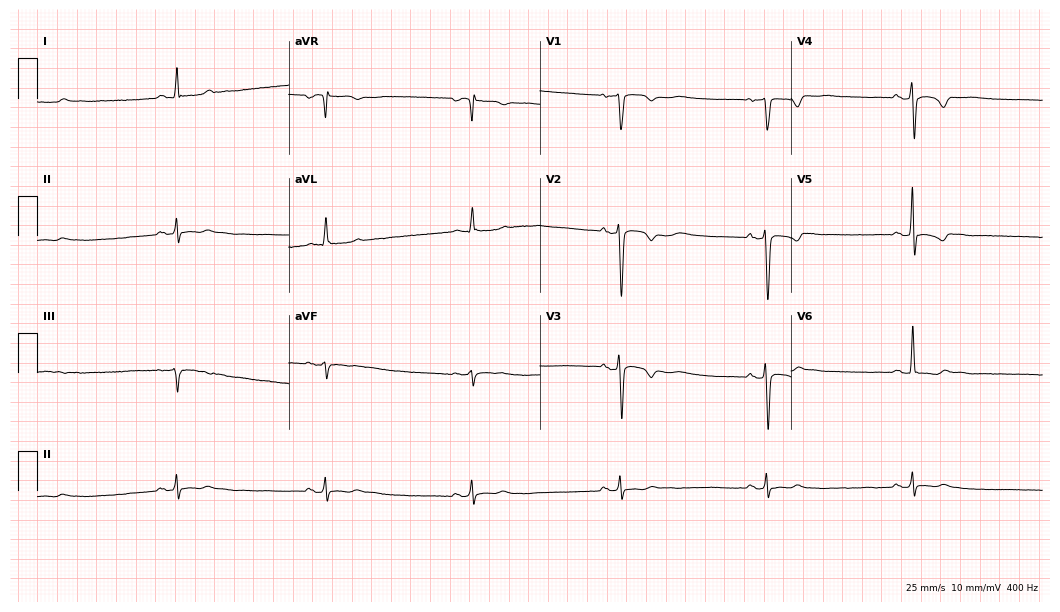
Resting 12-lead electrocardiogram. Patient: a woman, 58 years old. The tracing shows sinus bradycardia (a sinus rate of 50 beats per minute or less).